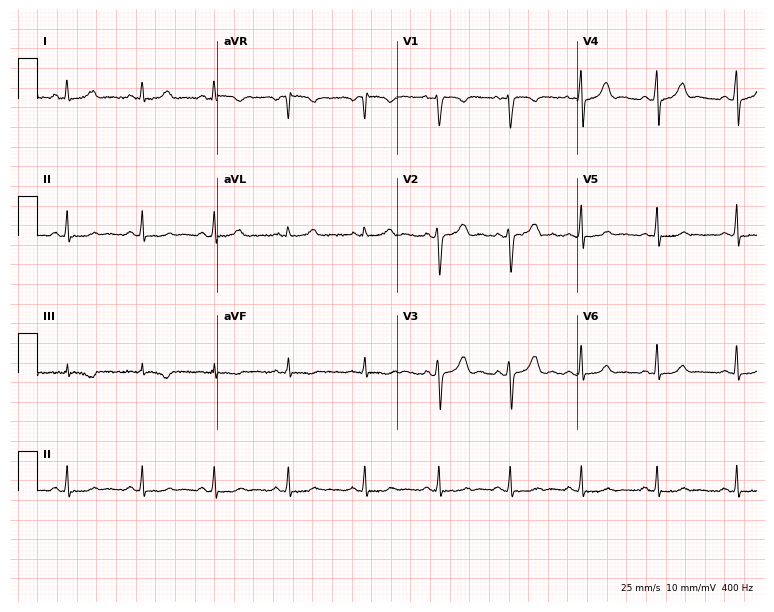
Electrocardiogram, a 24-year-old female patient. Of the six screened findings (first-degree AV block, right bundle branch block, left bundle branch block, sinus bradycardia, atrial fibrillation, sinus tachycardia), none is recorded.